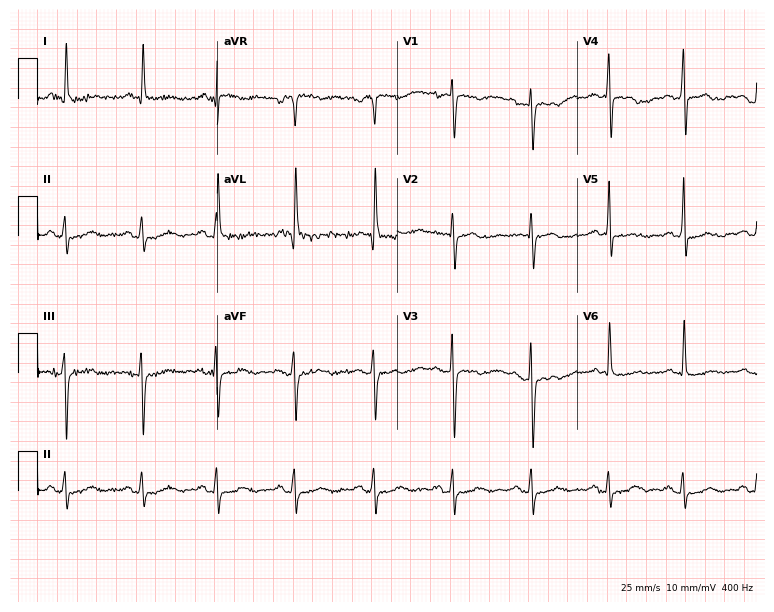
ECG (7.3-second recording at 400 Hz) — a 79-year-old man. Screened for six findings — first-degree AV block, right bundle branch block, left bundle branch block, sinus bradycardia, atrial fibrillation, sinus tachycardia — none is recorded.